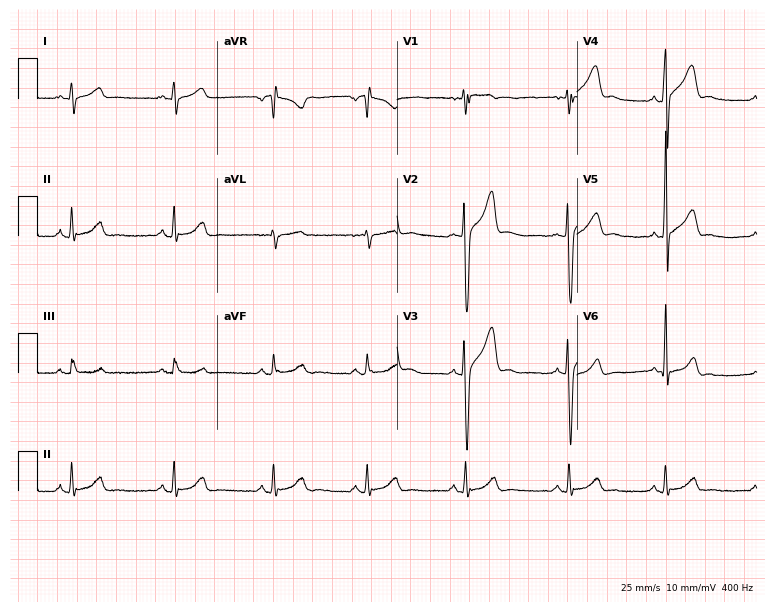
Electrocardiogram (7.3-second recording at 400 Hz), a 24-year-old male. Overall reading on record: normal ECG.